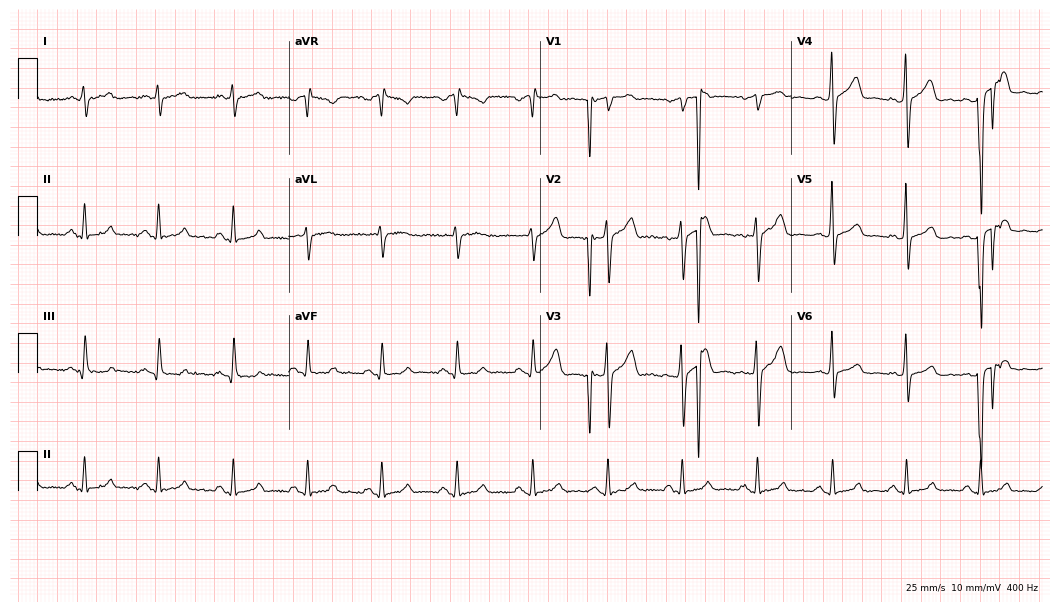
Standard 12-lead ECG recorded from a man, 44 years old. None of these six findings is recorded: first-degree AV block, right bundle branch block, left bundle branch block, sinus bradycardia, atrial fibrillation, sinus tachycardia. Findings outside these six are not listed.